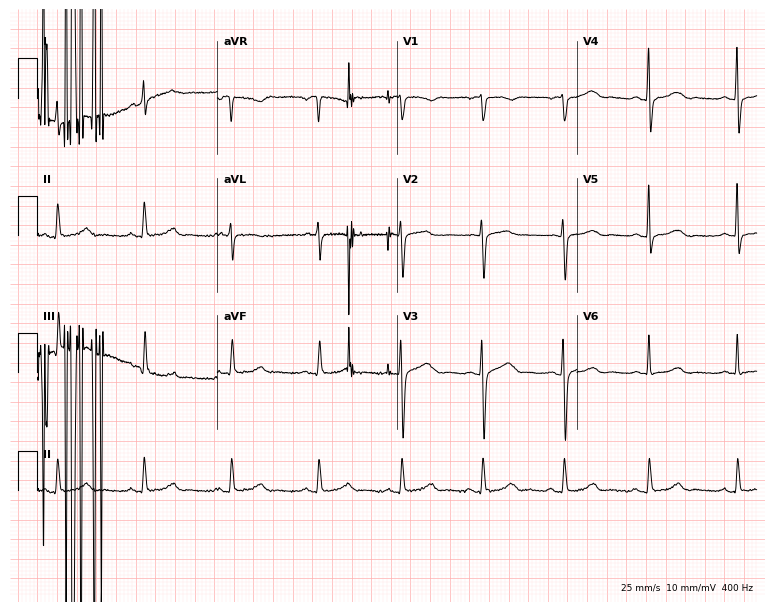
Resting 12-lead electrocardiogram. Patient: a female, 40 years old. Read as a normal ECG.